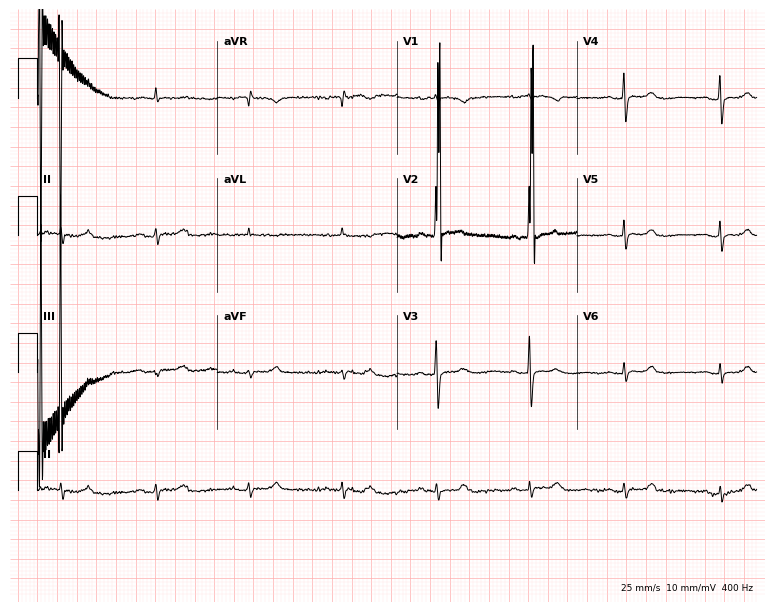
Resting 12-lead electrocardiogram (7.3-second recording at 400 Hz). Patient: a woman, 83 years old. None of these six findings is recorded: first-degree AV block, right bundle branch block (RBBB), left bundle branch block (LBBB), sinus bradycardia, atrial fibrillation (AF), sinus tachycardia. Findings outside these six are not listed.